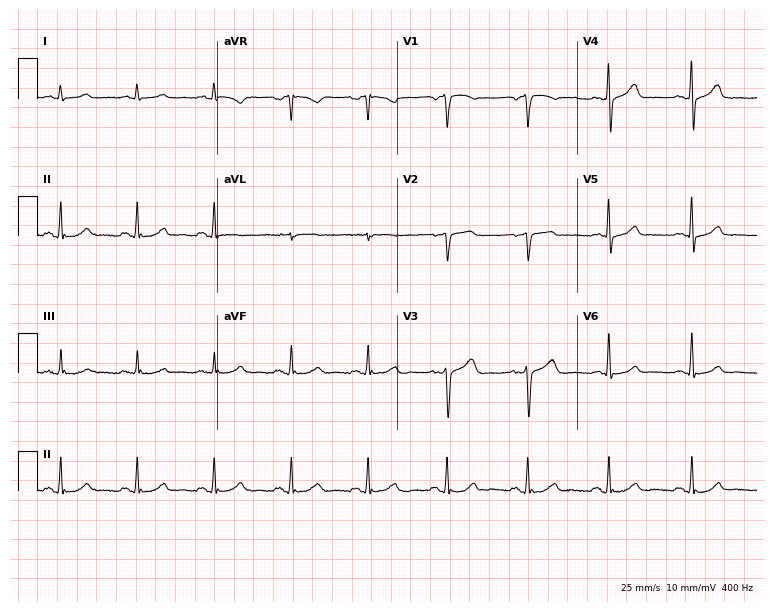
12-lead ECG from a 51-year-old male. Labelled as a normal ECG.